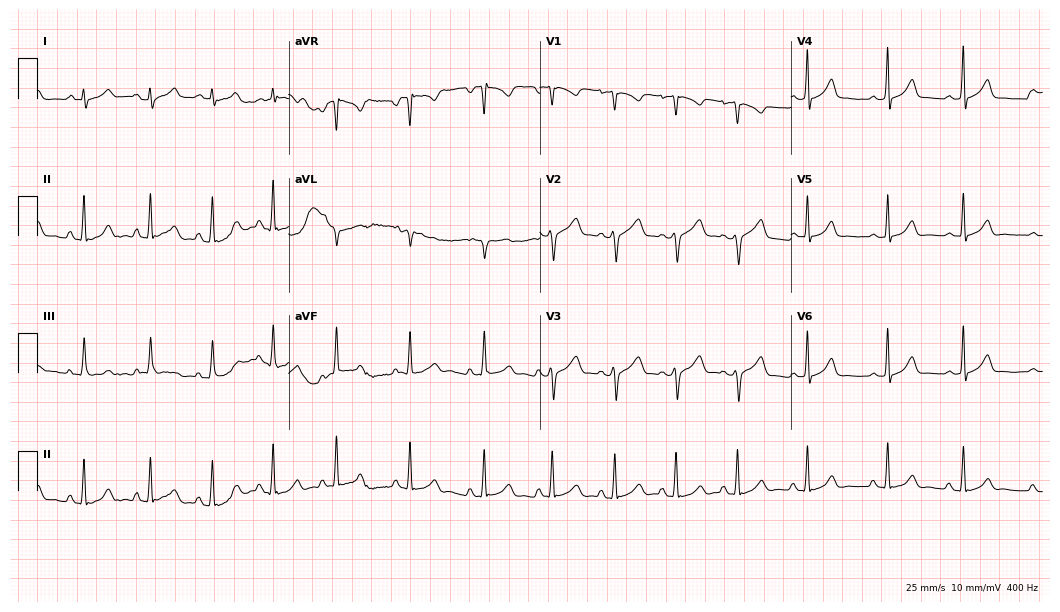
12-lead ECG from a 20-year-old woman. Recorded interpretation: within normal limits.